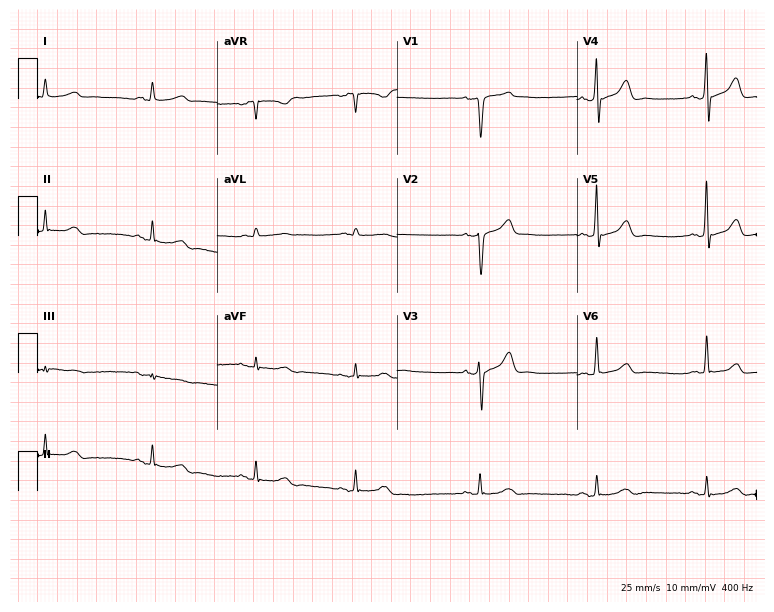
12-lead ECG (7.3-second recording at 400 Hz) from a 62-year-old male. Screened for six findings — first-degree AV block, right bundle branch block, left bundle branch block, sinus bradycardia, atrial fibrillation, sinus tachycardia — none is recorded. Findings outside these six are not listed.